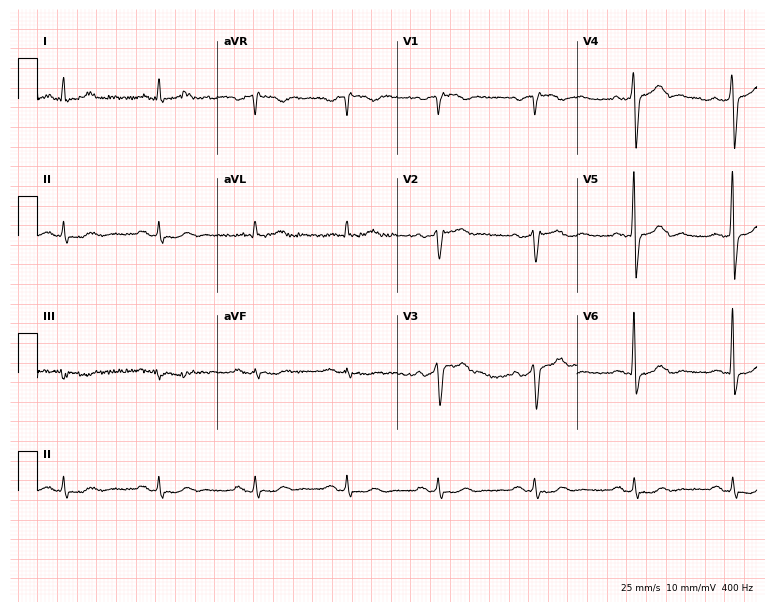
Resting 12-lead electrocardiogram (7.3-second recording at 400 Hz). Patient: an 81-year-old male. None of these six findings is recorded: first-degree AV block, right bundle branch block, left bundle branch block, sinus bradycardia, atrial fibrillation, sinus tachycardia.